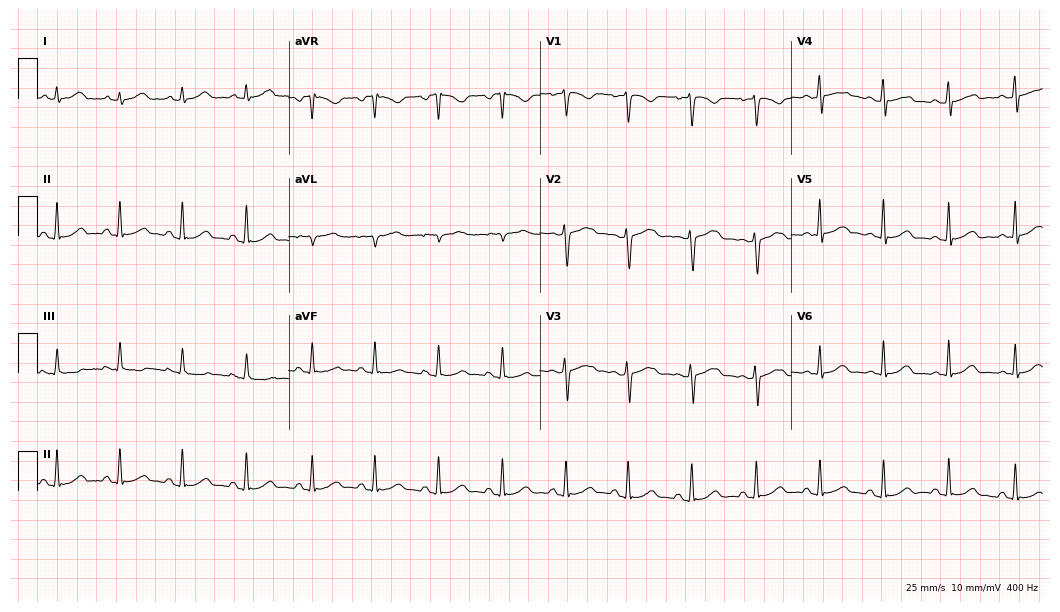
Standard 12-lead ECG recorded from a male, 30 years old (10.2-second recording at 400 Hz). Read as a normal ECG.